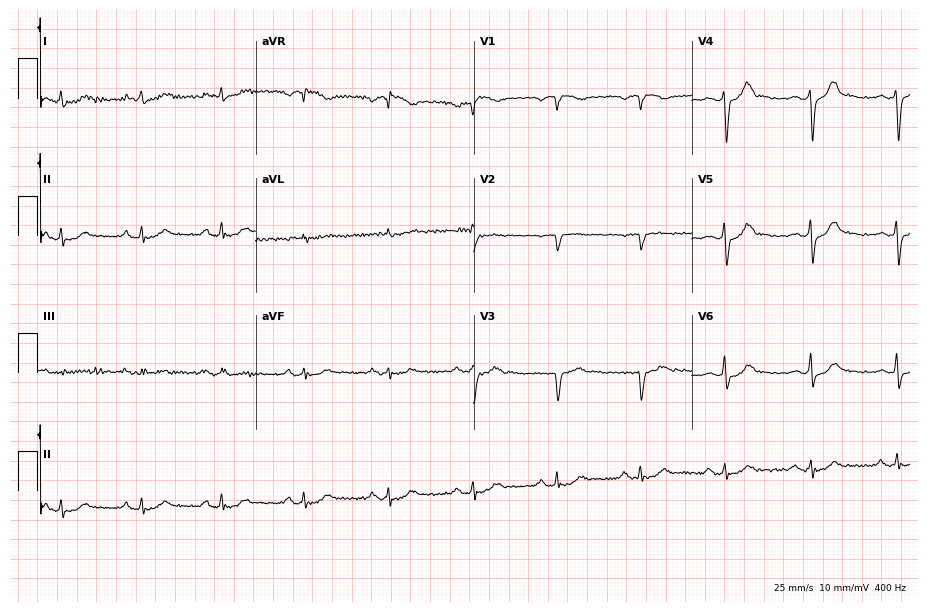
12-lead ECG from a 64-year-old male patient (8.9-second recording at 400 Hz). No first-degree AV block, right bundle branch block (RBBB), left bundle branch block (LBBB), sinus bradycardia, atrial fibrillation (AF) or sinus tachycardia recorded for this tracing. Findings outside these six are not listed.